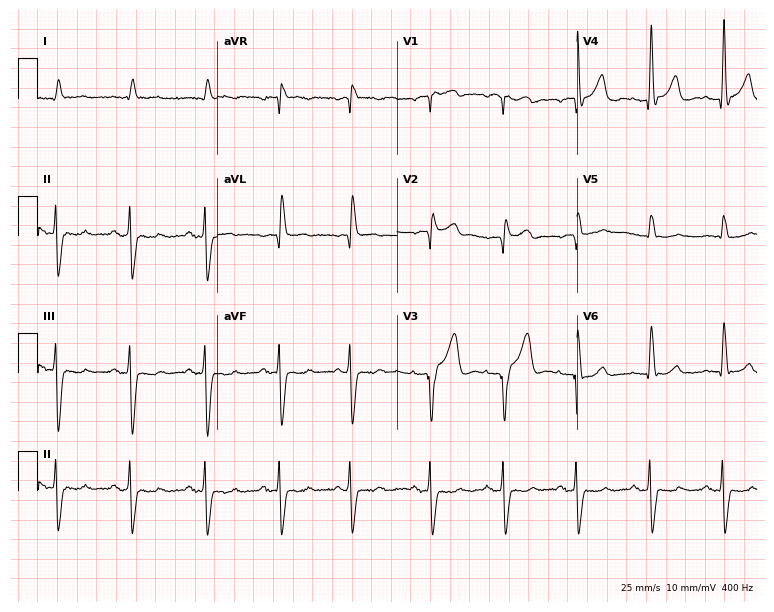
Standard 12-lead ECG recorded from an 83-year-old man. None of these six findings is recorded: first-degree AV block, right bundle branch block (RBBB), left bundle branch block (LBBB), sinus bradycardia, atrial fibrillation (AF), sinus tachycardia. Other findings, if any, are not listed.